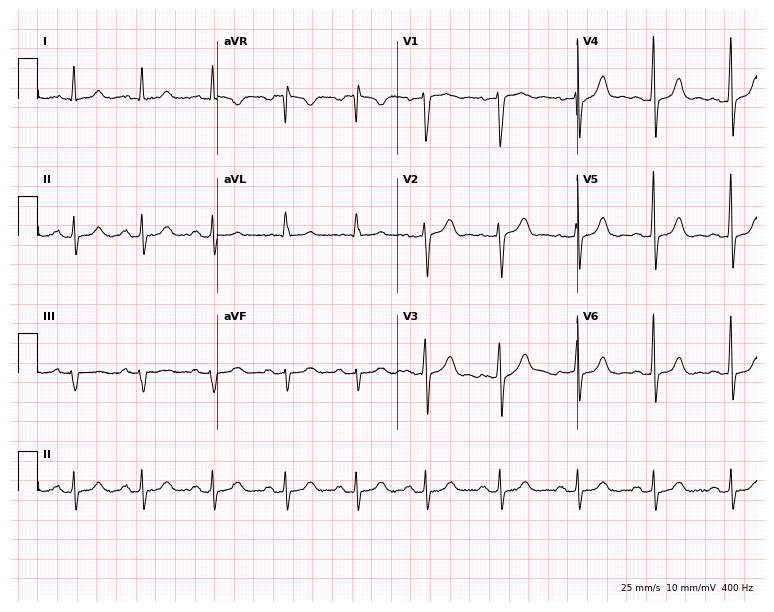
Electrocardiogram (7.3-second recording at 400 Hz), a 39-year-old female. Overall reading on record: normal ECG.